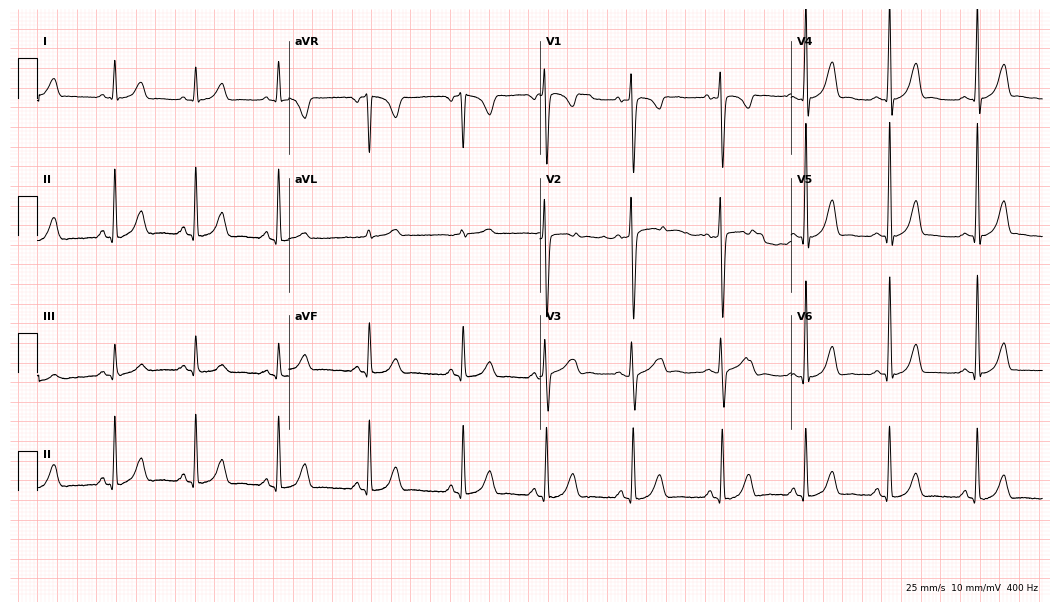
Electrocardiogram (10.2-second recording at 400 Hz), a 32-year-old female patient. Overall reading on record: normal ECG.